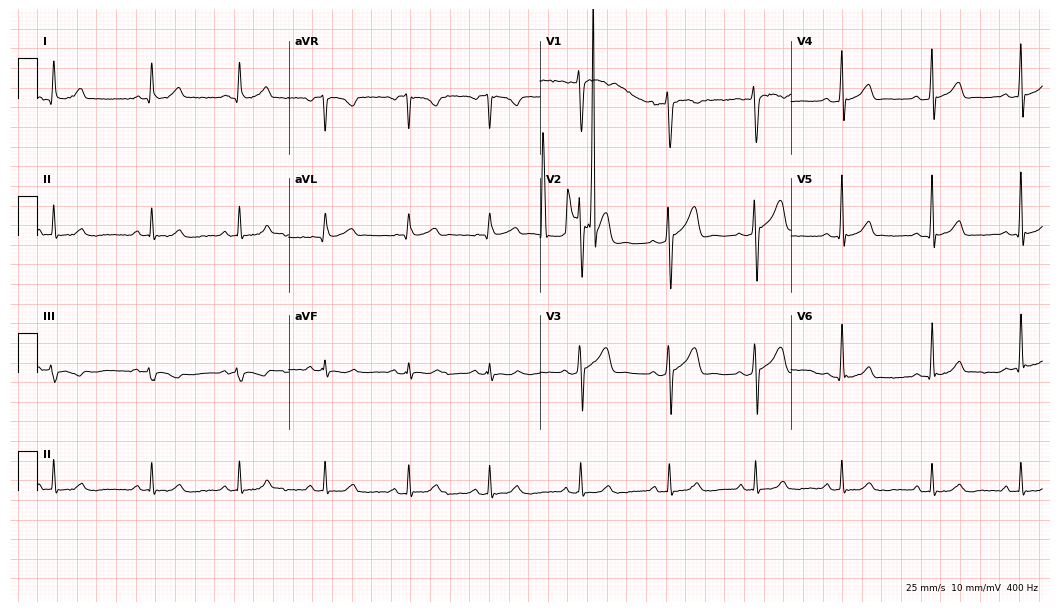
Resting 12-lead electrocardiogram. Patient: a 42-year-old male. None of these six findings is recorded: first-degree AV block, right bundle branch block (RBBB), left bundle branch block (LBBB), sinus bradycardia, atrial fibrillation (AF), sinus tachycardia. Findings outside these six are not listed.